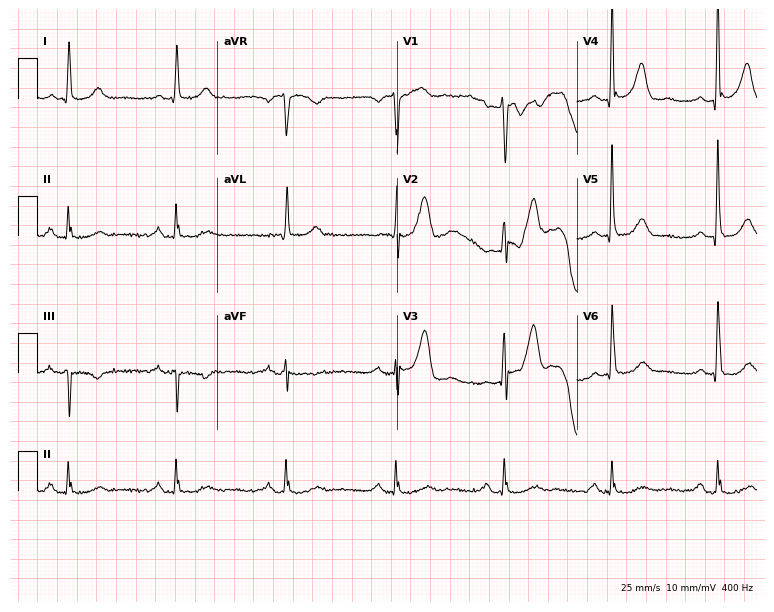
Resting 12-lead electrocardiogram (7.3-second recording at 400 Hz). Patient: a 73-year-old male. Read as a normal ECG.